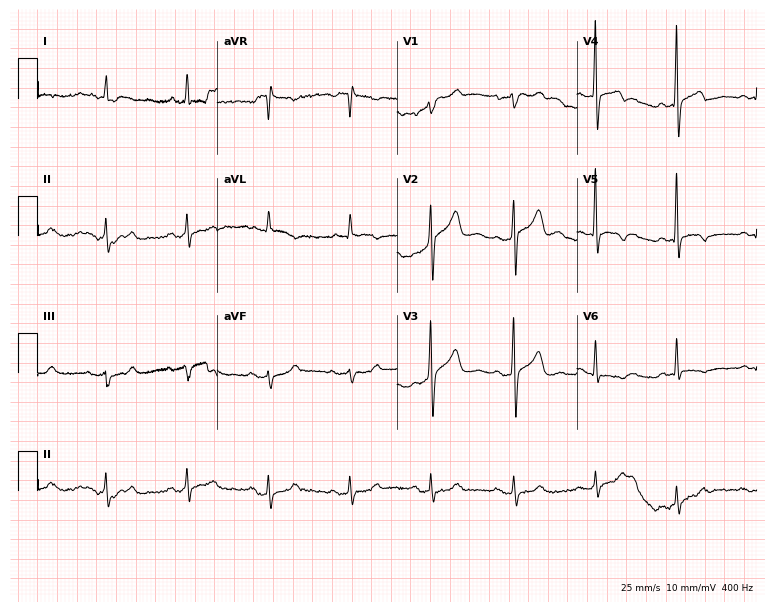
ECG — a male patient, 85 years old. Screened for six findings — first-degree AV block, right bundle branch block (RBBB), left bundle branch block (LBBB), sinus bradycardia, atrial fibrillation (AF), sinus tachycardia — none is recorded. Only these six findings were labelled.